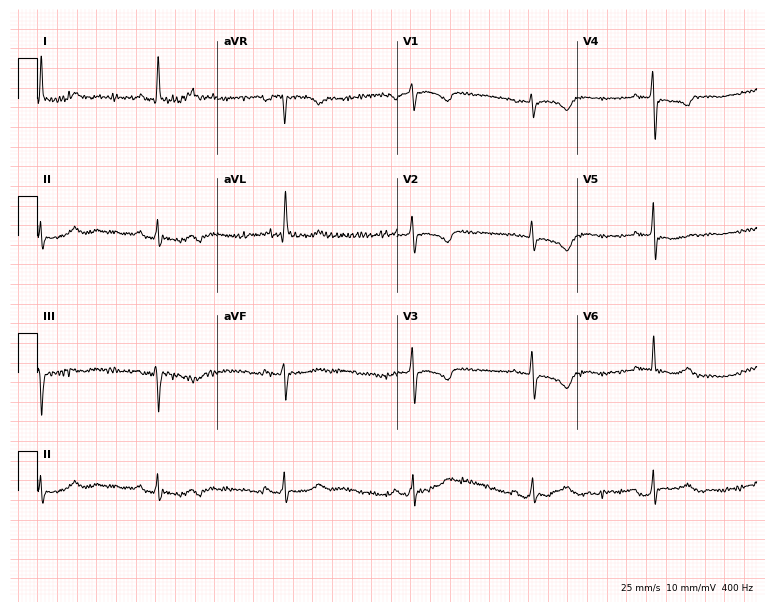
12-lead ECG (7.3-second recording at 400 Hz) from a female, 69 years old. Findings include sinus bradycardia (a sinus rate of 50 beats per minute or less).